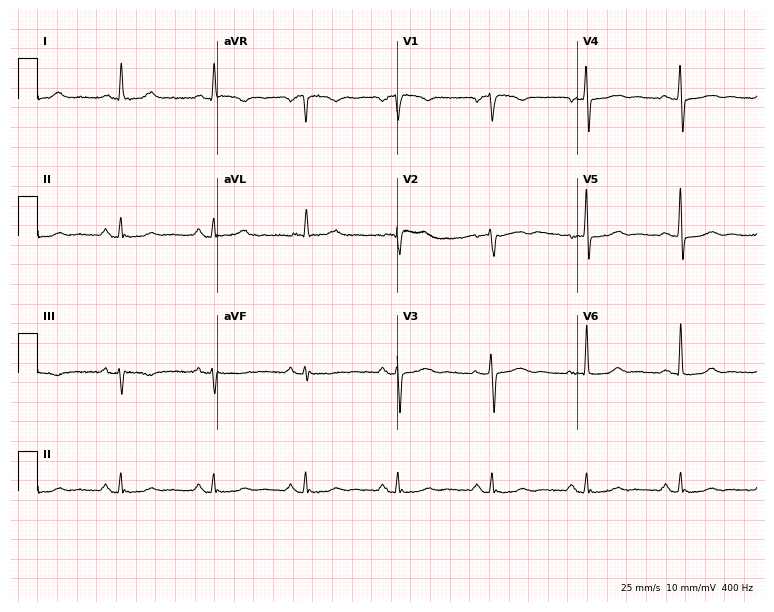
ECG (7.3-second recording at 400 Hz) — a 75-year-old male. Labelled as a normal ECG.